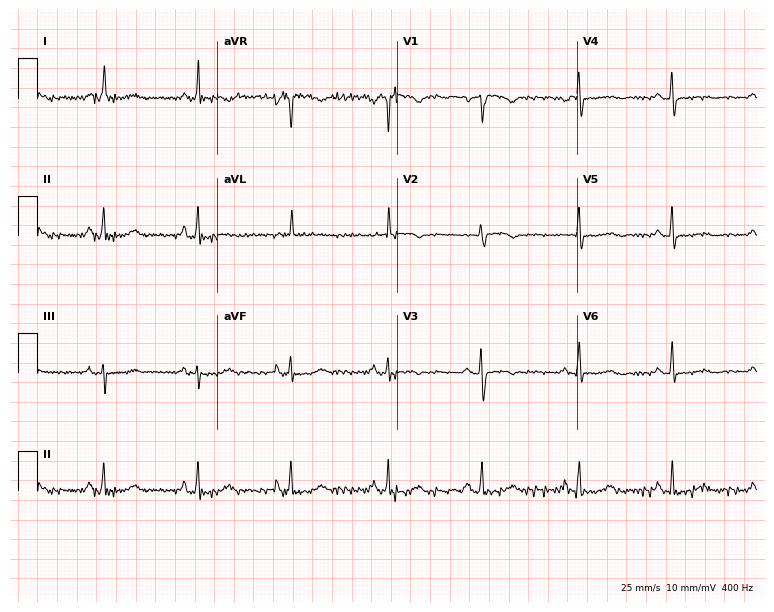
12-lead ECG from a 71-year-old woman. No first-degree AV block, right bundle branch block, left bundle branch block, sinus bradycardia, atrial fibrillation or sinus tachycardia recorded for this tracing. Only these six findings were labelled.